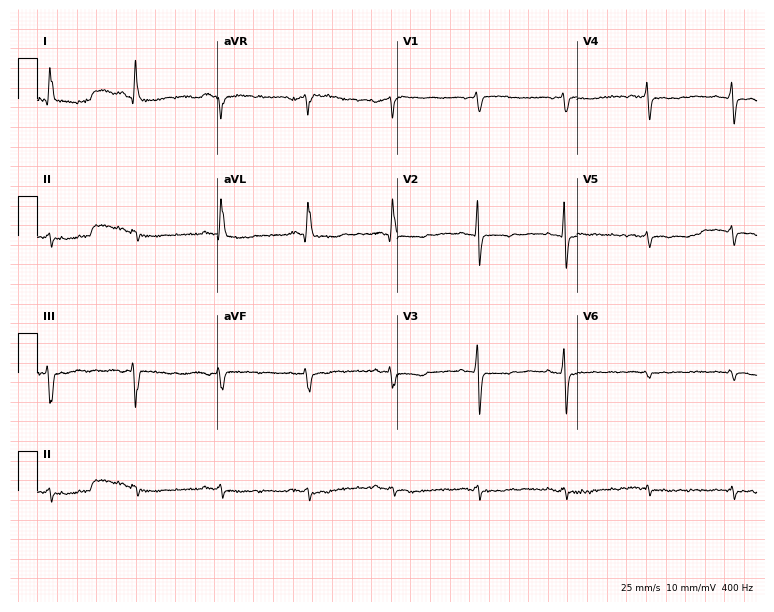
Resting 12-lead electrocardiogram. Patient: a female, 70 years old. None of these six findings is recorded: first-degree AV block, right bundle branch block (RBBB), left bundle branch block (LBBB), sinus bradycardia, atrial fibrillation (AF), sinus tachycardia. Other findings, if any, are not listed.